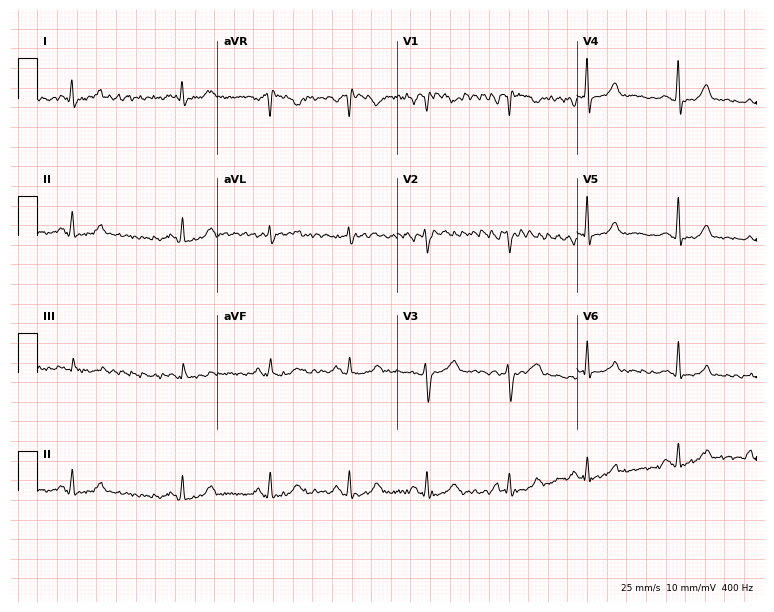
Resting 12-lead electrocardiogram (7.3-second recording at 400 Hz). Patient: a female, 40 years old. None of these six findings is recorded: first-degree AV block, right bundle branch block (RBBB), left bundle branch block (LBBB), sinus bradycardia, atrial fibrillation (AF), sinus tachycardia. Only these six findings were labelled.